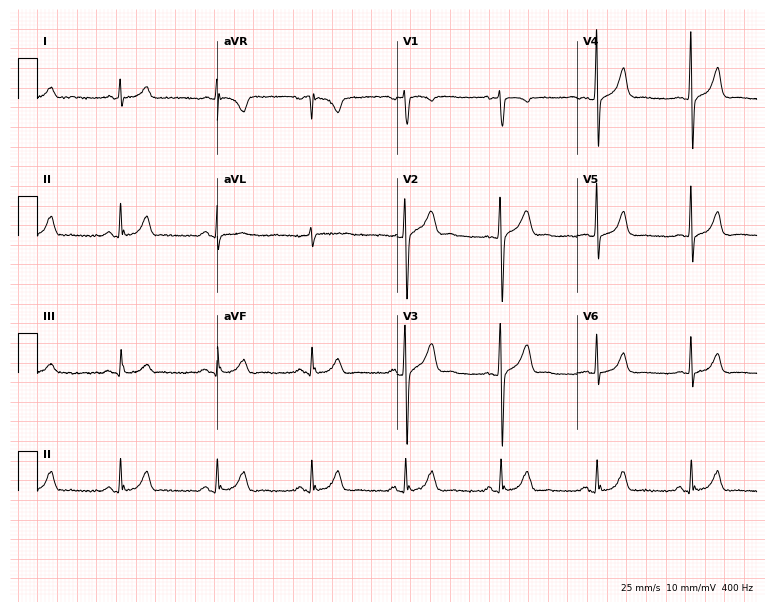
Electrocardiogram (7.3-second recording at 400 Hz), a 39-year-old male patient. Overall reading on record: normal ECG.